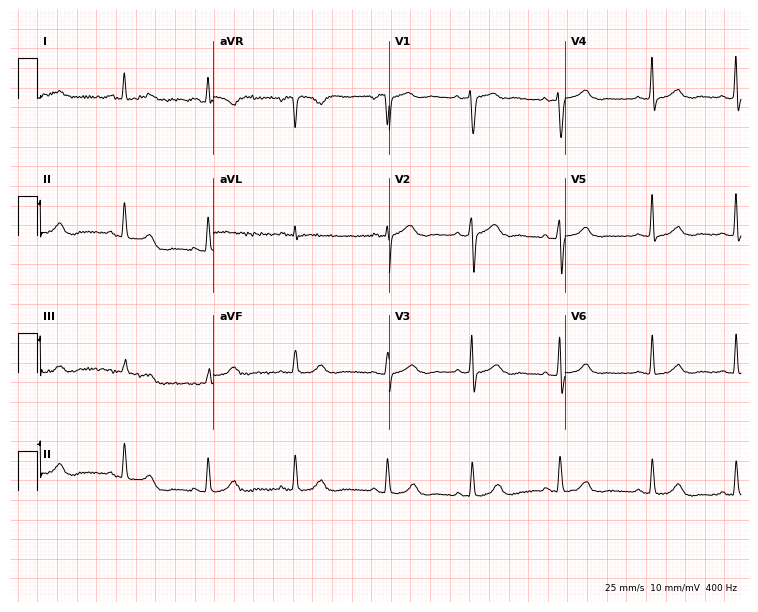
Electrocardiogram, a 35-year-old female patient. Of the six screened findings (first-degree AV block, right bundle branch block (RBBB), left bundle branch block (LBBB), sinus bradycardia, atrial fibrillation (AF), sinus tachycardia), none is recorded.